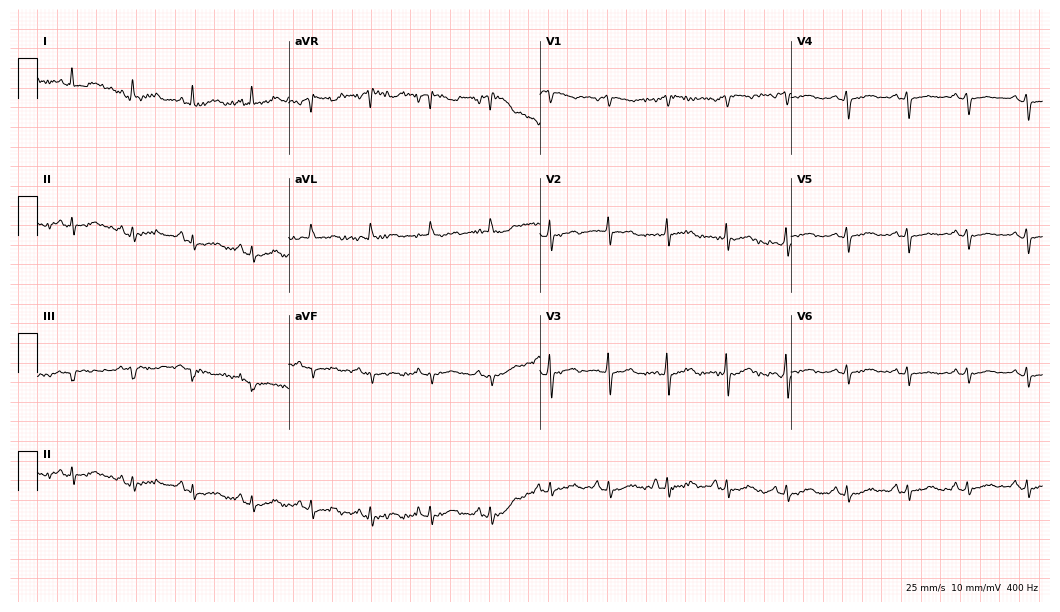
ECG — a female, 73 years old. Screened for six findings — first-degree AV block, right bundle branch block (RBBB), left bundle branch block (LBBB), sinus bradycardia, atrial fibrillation (AF), sinus tachycardia — none is recorded. Only these six findings were labelled.